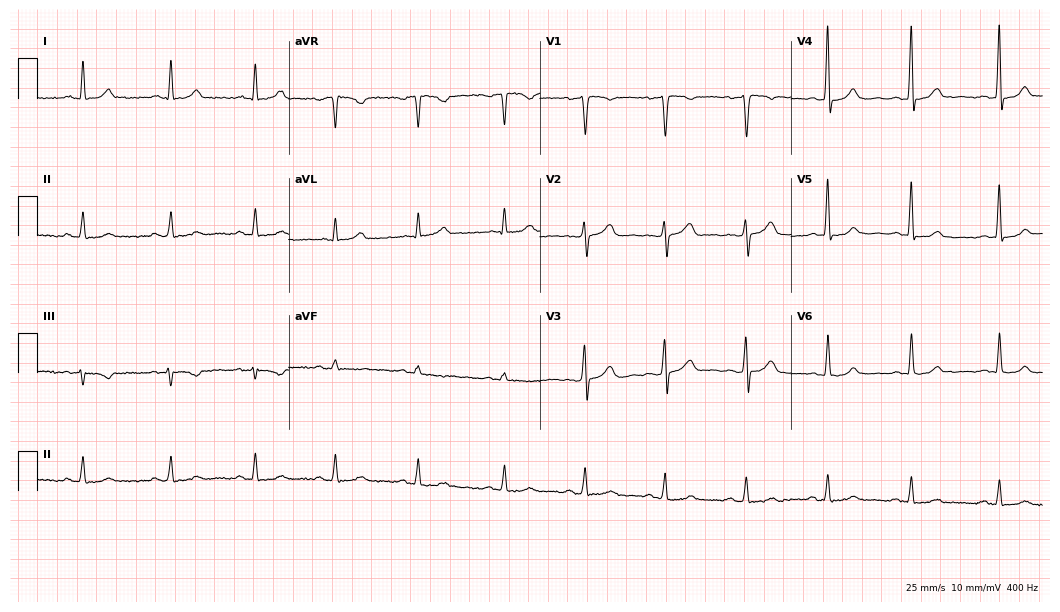
Electrocardiogram, a male, 55 years old. Overall reading on record: normal ECG.